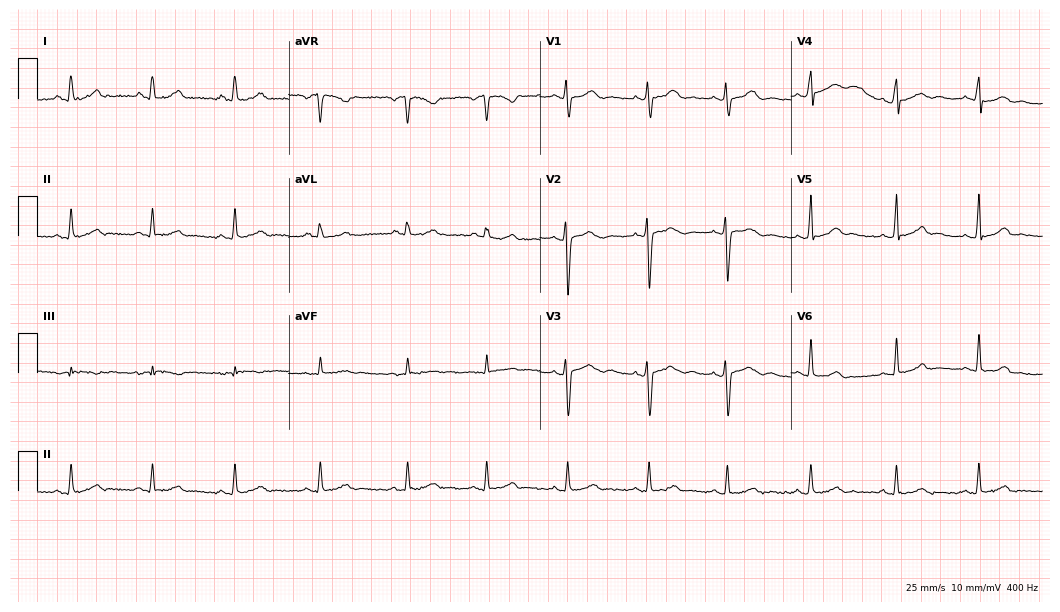
ECG (10.2-second recording at 400 Hz) — a female patient, 22 years old. Labelled as a normal ECG.